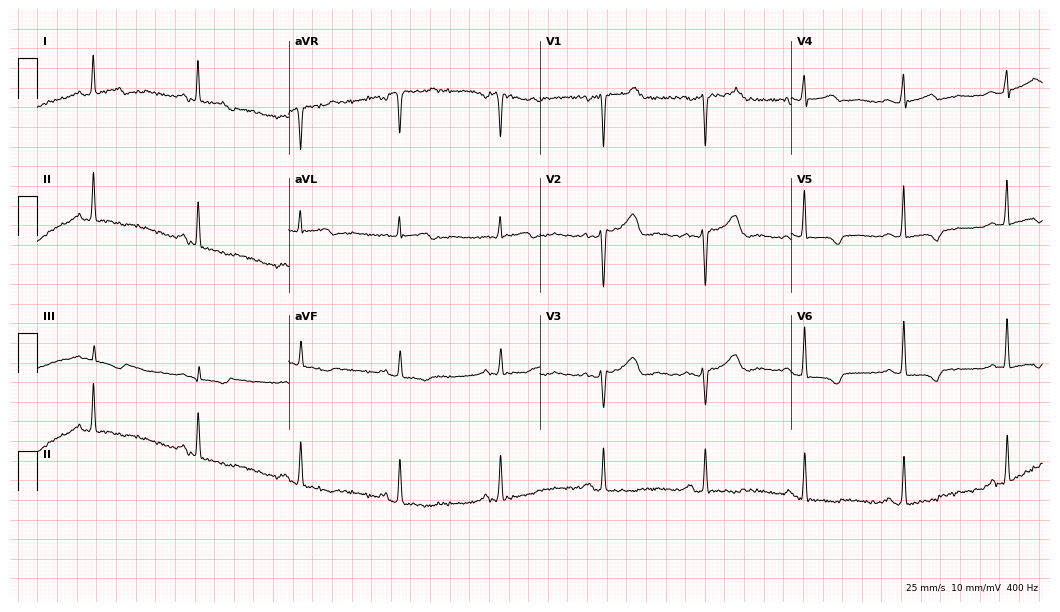
Standard 12-lead ECG recorded from a 59-year-old female. None of these six findings is recorded: first-degree AV block, right bundle branch block (RBBB), left bundle branch block (LBBB), sinus bradycardia, atrial fibrillation (AF), sinus tachycardia. Findings outside these six are not listed.